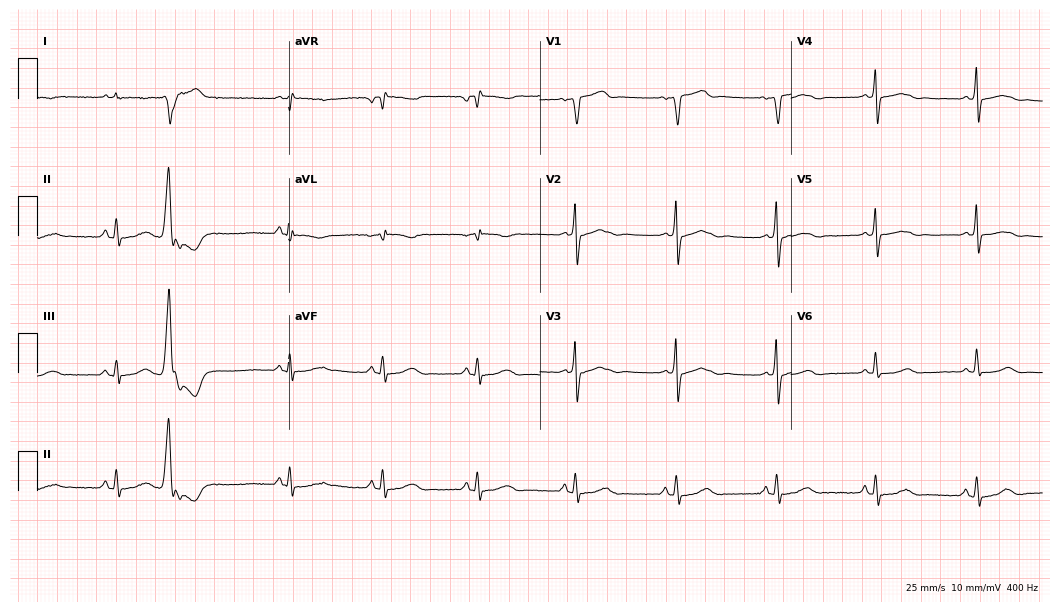
12-lead ECG from a male, 58 years old. No first-degree AV block, right bundle branch block (RBBB), left bundle branch block (LBBB), sinus bradycardia, atrial fibrillation (AF) or sinus tachycardia recorded for this tracing. Findings outside these six are not listed.